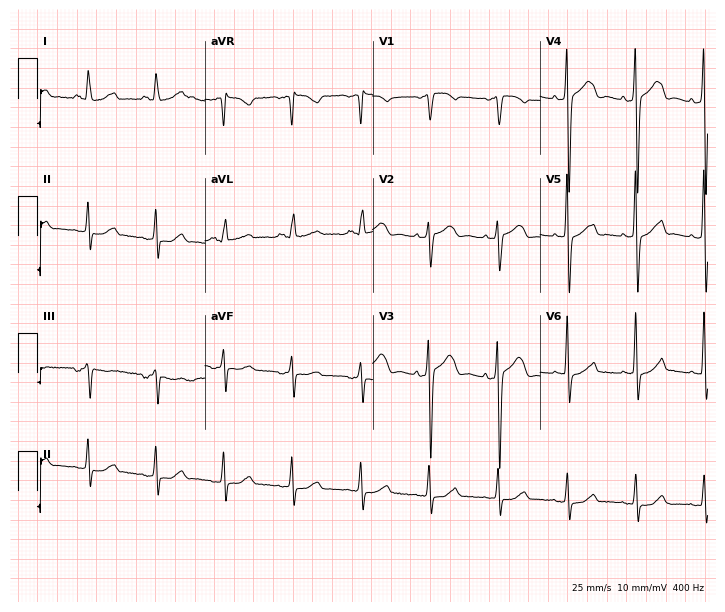
Electrocardiogram, a female patient, 71 years old. Overall reading on record: normal ECG.